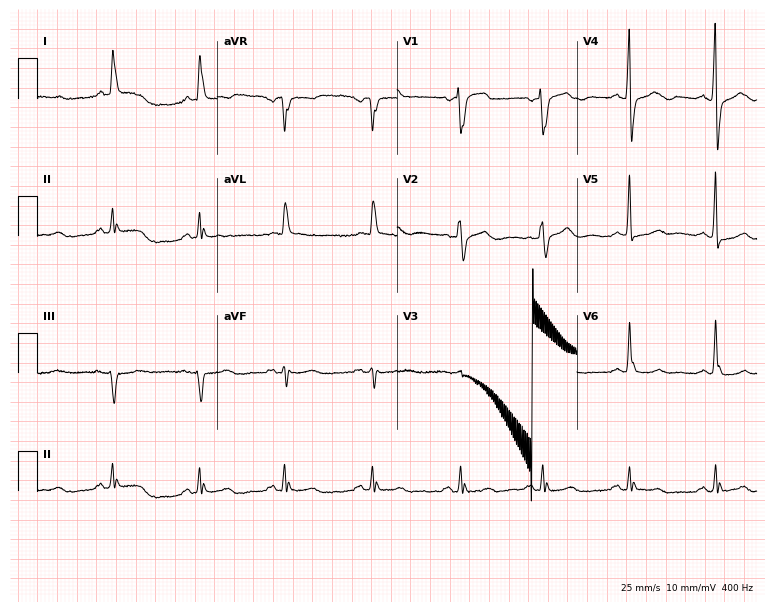
Standard 12-lead ECG recorded from a woman, 65 years old (7.3-second recording at 400 Hz). None of these six findings is recorded: first-degree AV block, right bundle branch block (RBBB), left bundle branch block (LBBB), sinus bradycardia, atrial fibrillation (AF), sinus tachycardia. Only these six findings were labelled.